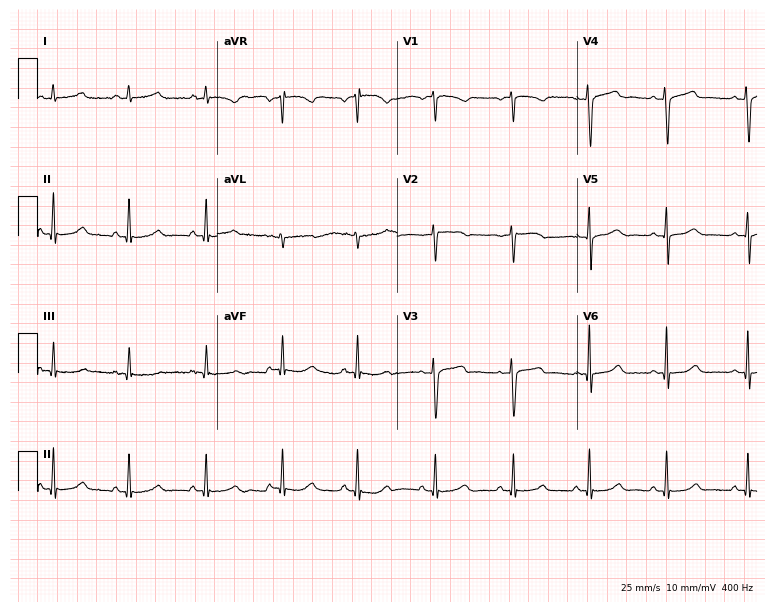
Electrocardiogram (7.3-second recording at 400 Hz), a 40-year-old woman. Overall reading on record: normal ECG.